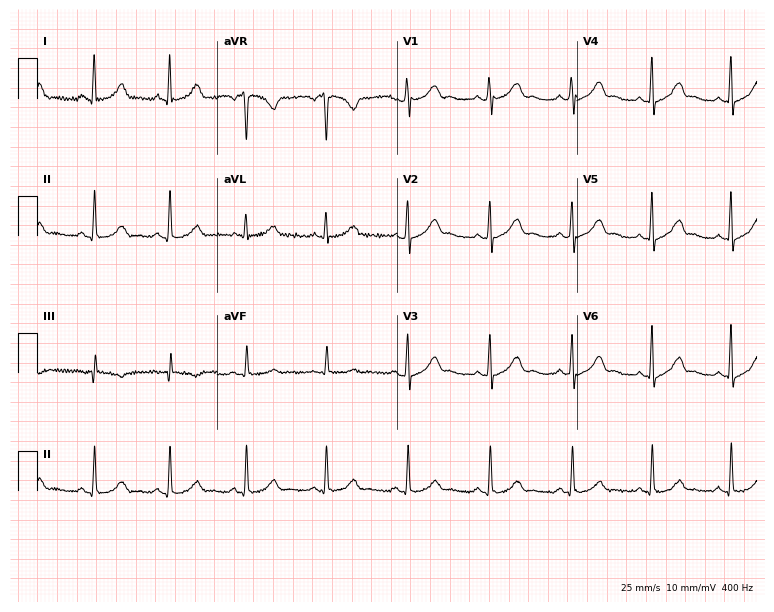
Standard 12-lead ECG recorded from a 34-year-old female (7.3-second recording at 400 Hz). Read as a normal ECG.